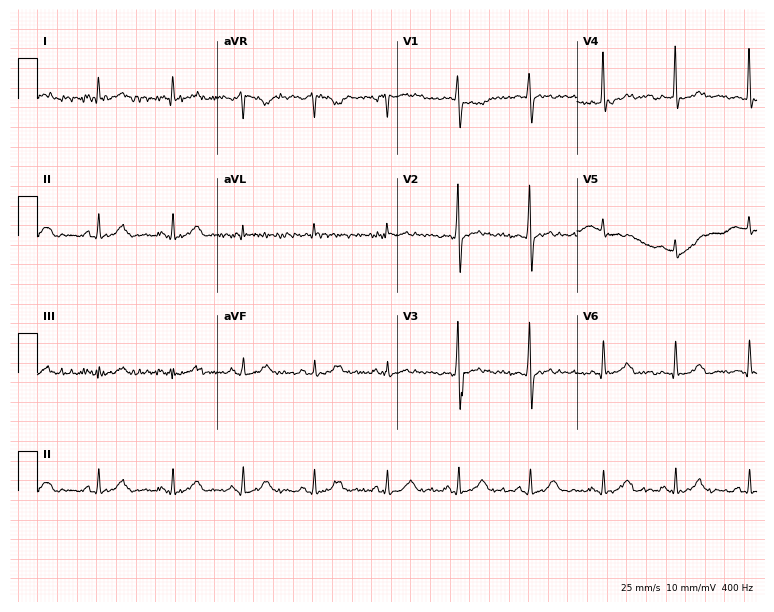
Resting 12-lead electrocardiogram (7.3-second recording at 400 Hz). Patient: a 36-year-old male. None of these six findings is recorded: first-degree AV block, right bundle branch block, left bundle branch block, sinus bradycardia, atrial fibrillation, sinus tachycardia.